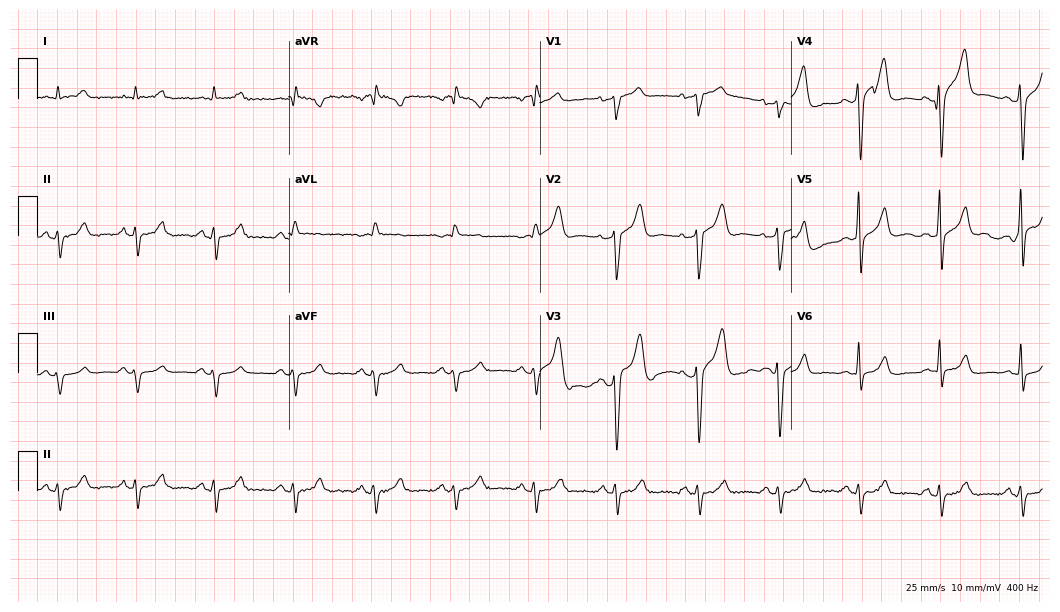
12-lead ECG (10.2-second recording at 400 Hz) from a man, 58 years old. Screened for six findings — first-degree AV block, right bundle branch block, left bundle branch block, sinus bradycardia, atrial fibrillation, sinus tachycardia — none is recorded. Findings outside these six are not listed.